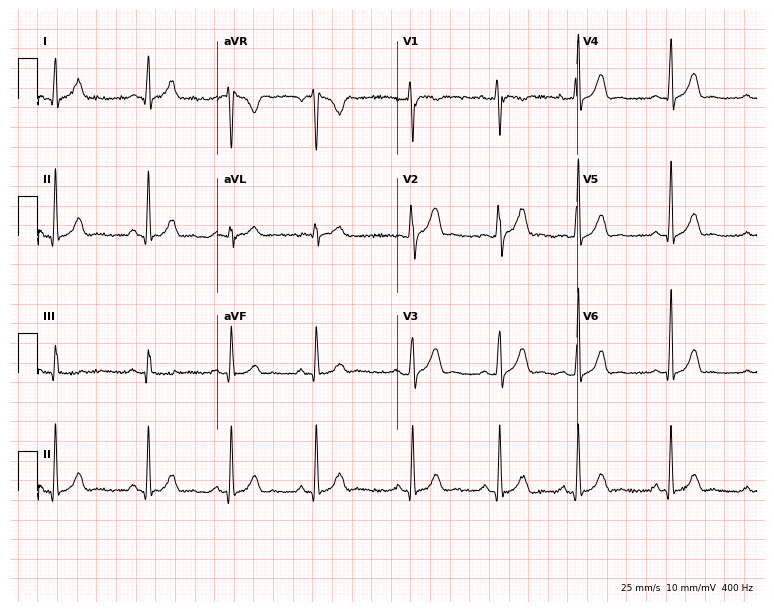
12-lead ECG (7.3-second recording at 400 Hz) from a female, 19 years old. Labelled as a normal ECG.